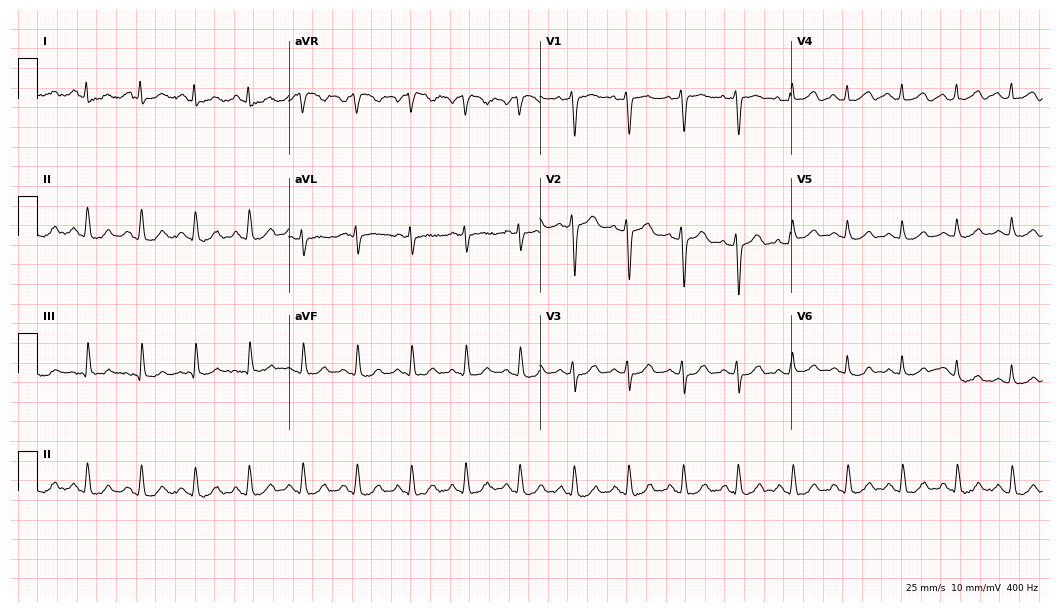
ECG — a female patient, 29 years old. Findings include sinus tachycardia (a sinus rate of 100 beats per minute or more).